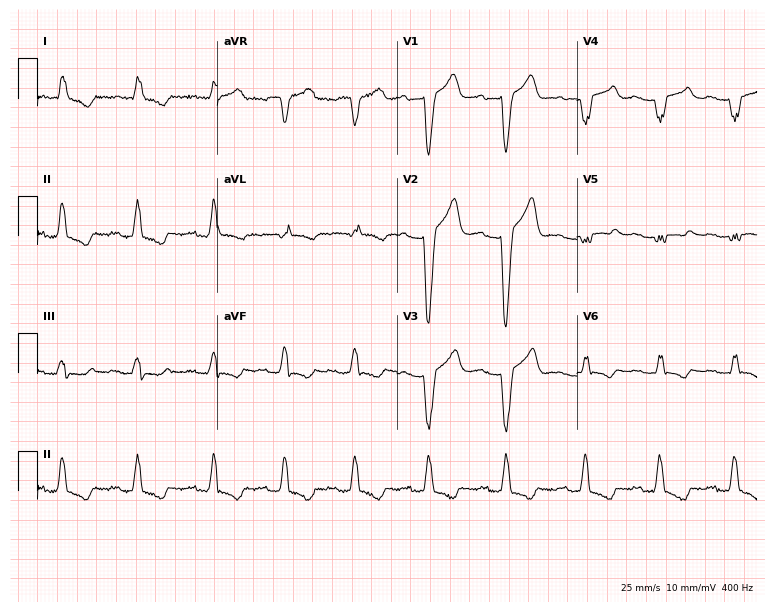
Standard 12-lead ECG recorded from a 65-year-old woman (7.3-second recording at 400 Hz). The tracing shows left bundle branch block (LBBB).